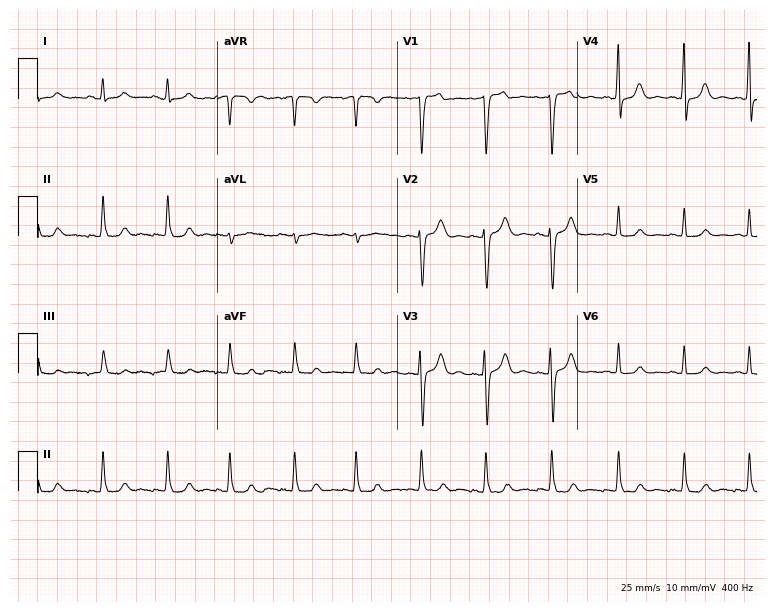
Standard 12-lead ECG recorded from a female, 47 years old (7.3-second recording at 400 Hz). Read as a normal ECG.